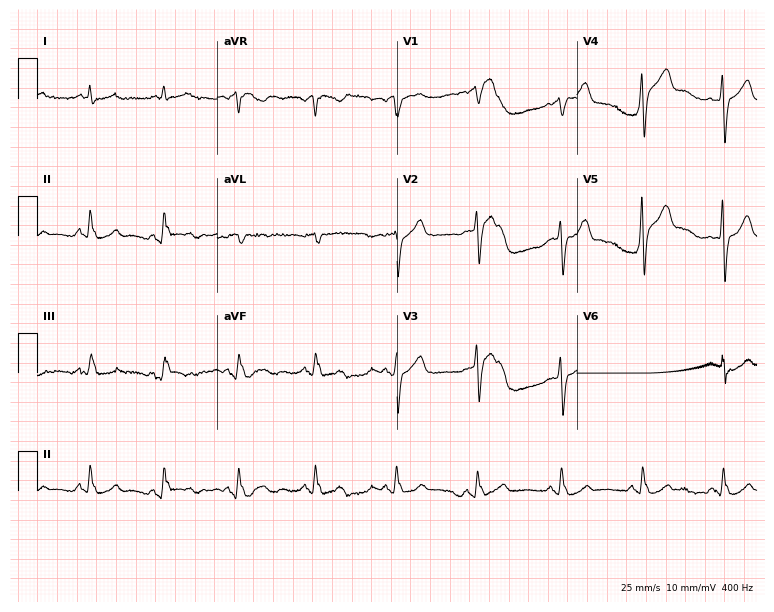
12-lead ECG from a male, 71 years old (7.3-second recording at 400 Hz). No first-degree AV block, right bundle branch block, left bundle branch block, sinus bradycardia, atrial fibrillation or sinus tachycardia recorded for this tracing.